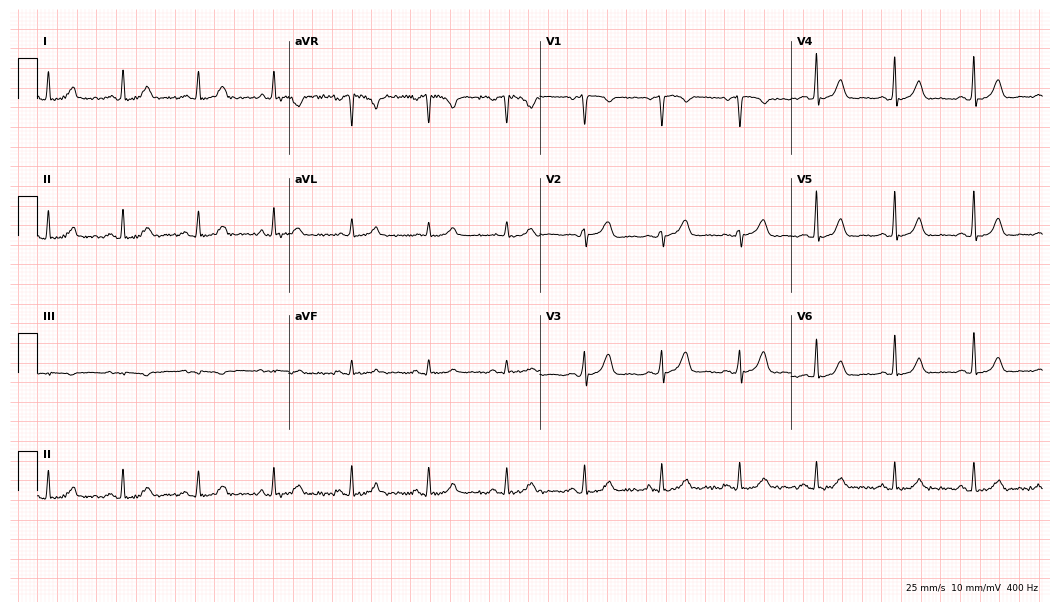
Standard 12-lead ECG recorded from a female patient, 51 years old (10.2-second recording at 400 Hz). None of these six findings is recorded: first-degree AV block, right bundle branch block (RBBB), left bundle branch block (LBBB), sinus bradycardia, atrial fibrillation (AF), sinus tachycardia.